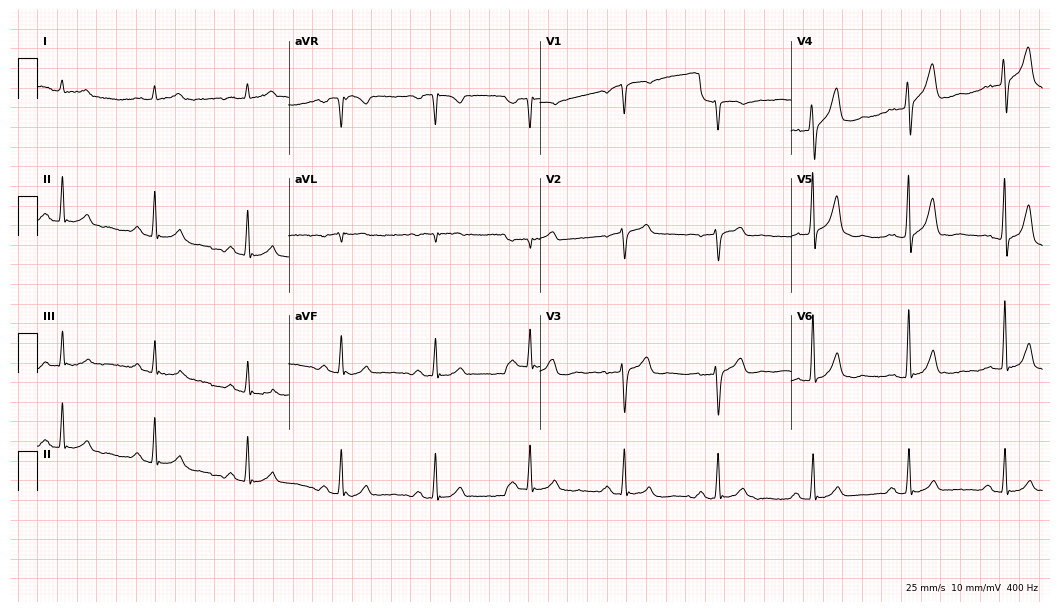
ECG — a male patient, 57 years old. Labelled as a normal ECG.